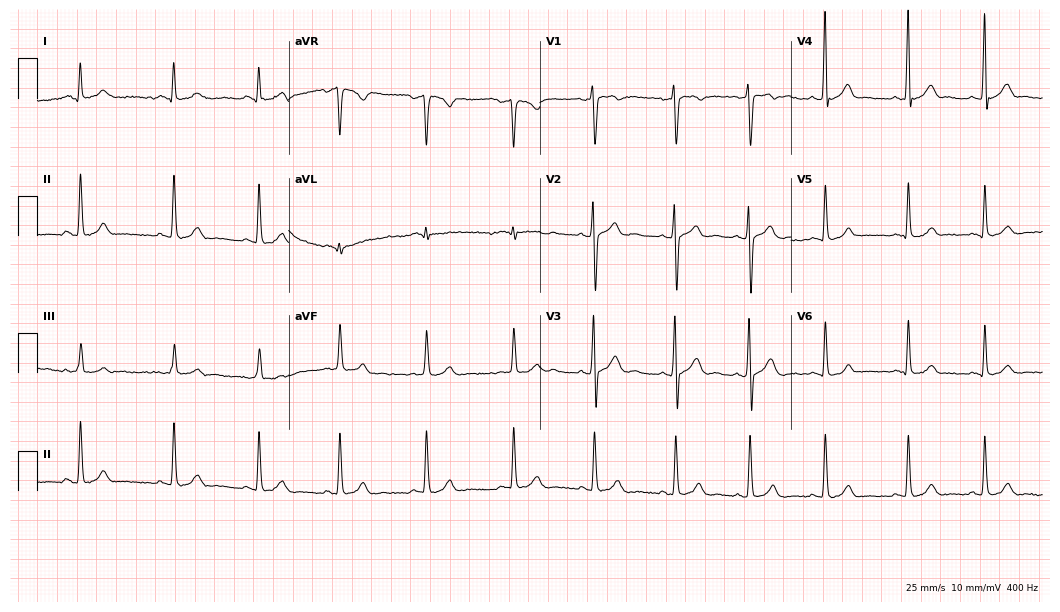
12-lead ECG from a man, 27 years old (10.2-second recording at 400 Hz). Recorded interpretation: within normal limits.